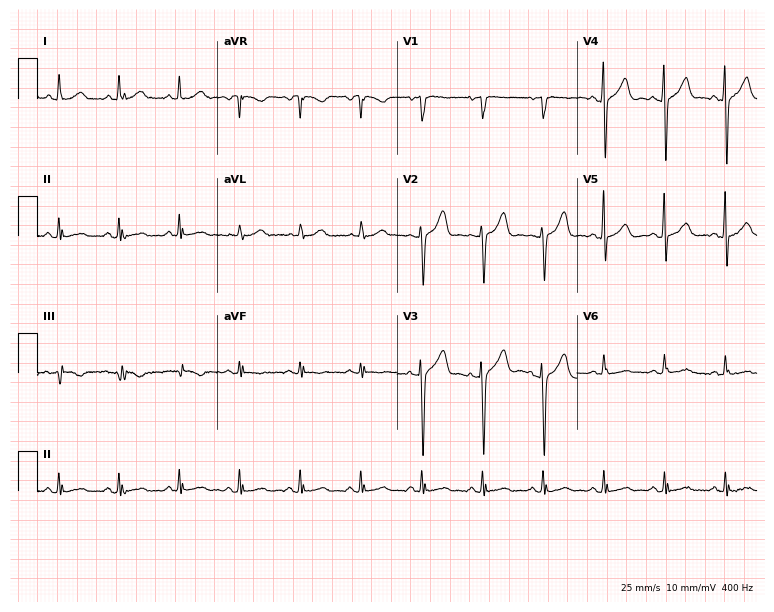
ECG (7.3-second recording at 400 Hz) — a male patient, 78 years old. Screened for six findings — first-degree AV block, right bundle branch block (RBBB), left bundle branch block (LBBB), sinus bradycardia, atrial fibrillation (AF), sinus tachycardia — none is recorded. Only these six findings were labelled.